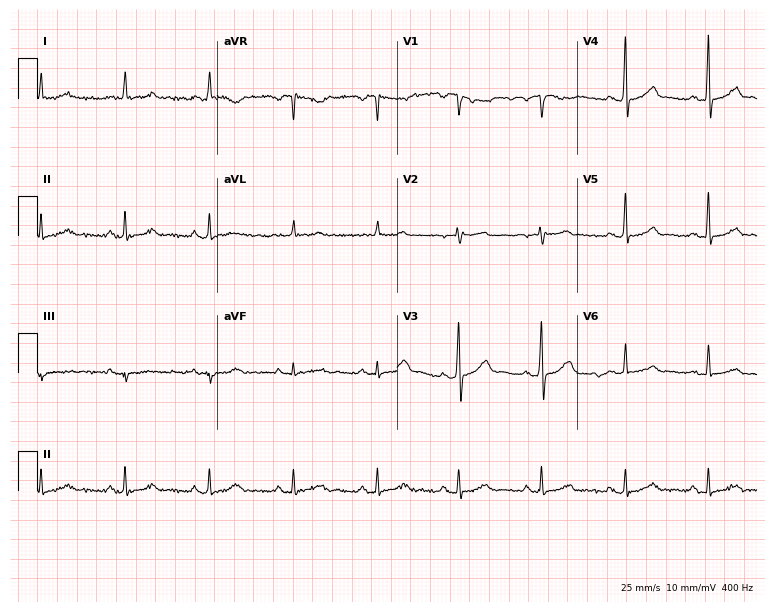
12-lead ECG from a 62-year-old male. Labelled as a normal ECG.